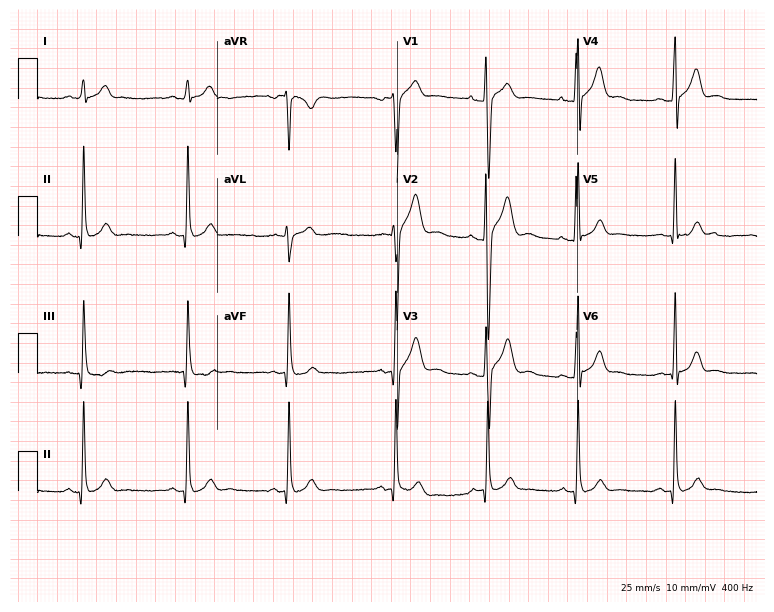
Electrocardiogram, a 25-year-old male. Of the six screened findings (first-degree AV block, right bundle branch block (RBBB), left bundle branch block (LBBB), sinus bradycardia, atrial fibrillation (AF), sinus tachycardia), none is recorded.